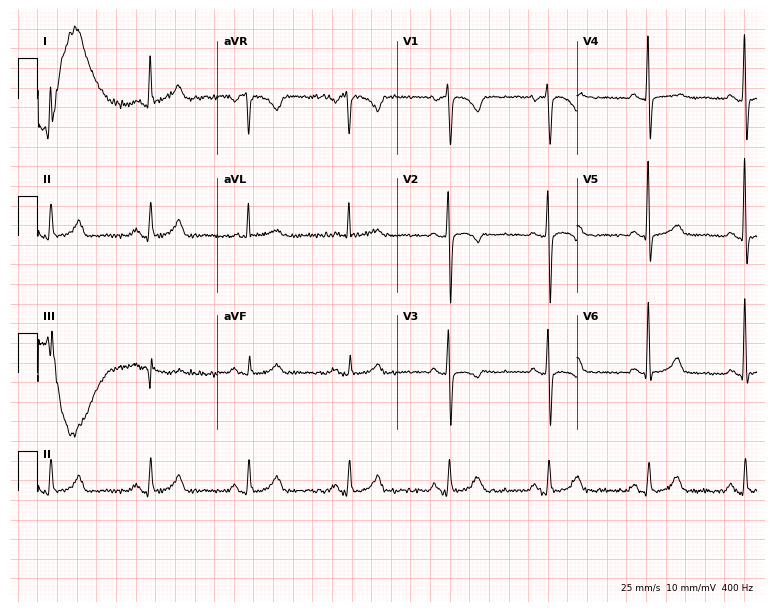
Electrocardiogram (7.3-second recording at 400 Hz), a 62-year-old woman. Of the six screened findings (first-degree AV block, right bundle branch block (RBBB), left bundle branch block (LBBB), sinus bradycardia, atrial fibrillation (AF), sinus tachycardia), none is recorded.